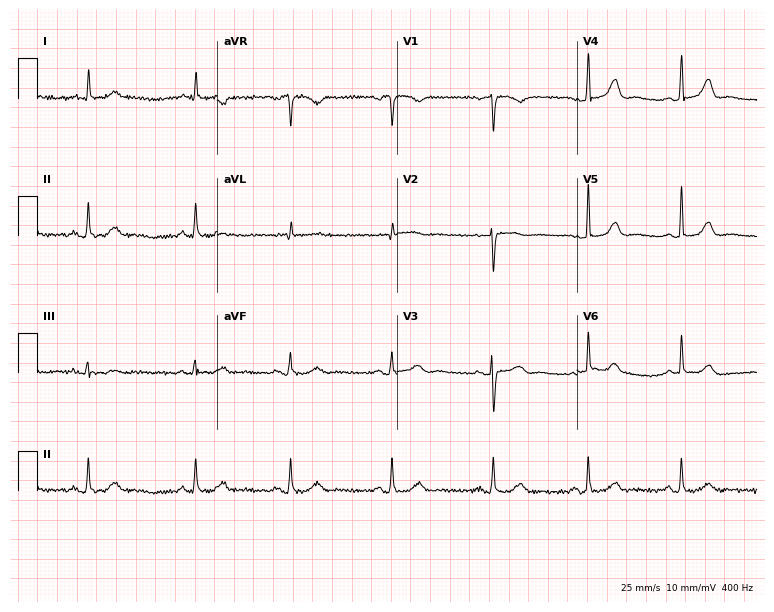
12-lead ECG from a male patient, 76 years old. Labelled as a normal ECG.